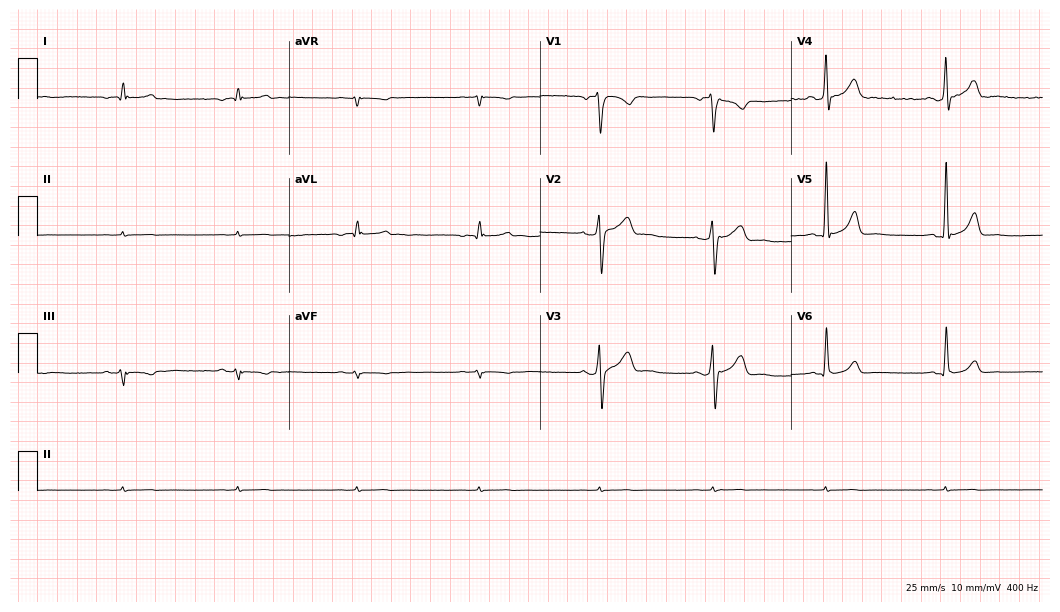
12-lead ECG (10.2-second recording at 400 Hz) from a male patient, 60 years old. Screened for six findings — first-degree AV block, right bundle branch block, left bundle branch block, sinus bradycardia, atrial fibrillation, sinus tachycardia — none is recorded.